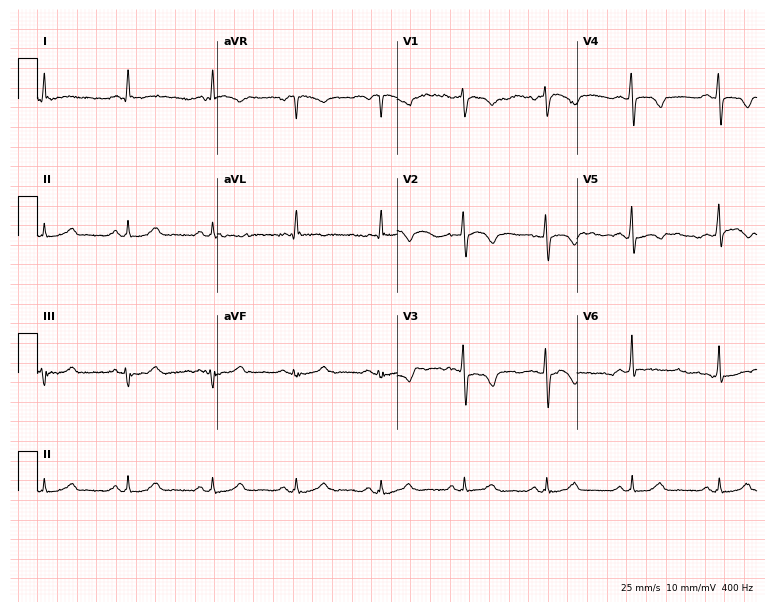
12-lead ECG (7.3-second recording at 400 Hz) from a man, 49 years old. Screened for six findings — first-degree AV block, right bundle branch block, left bundle branch block, sinus bradycardia, atrial fibrillation, sinus tachycardia — none is recorded. Findings outside these six are not listed.